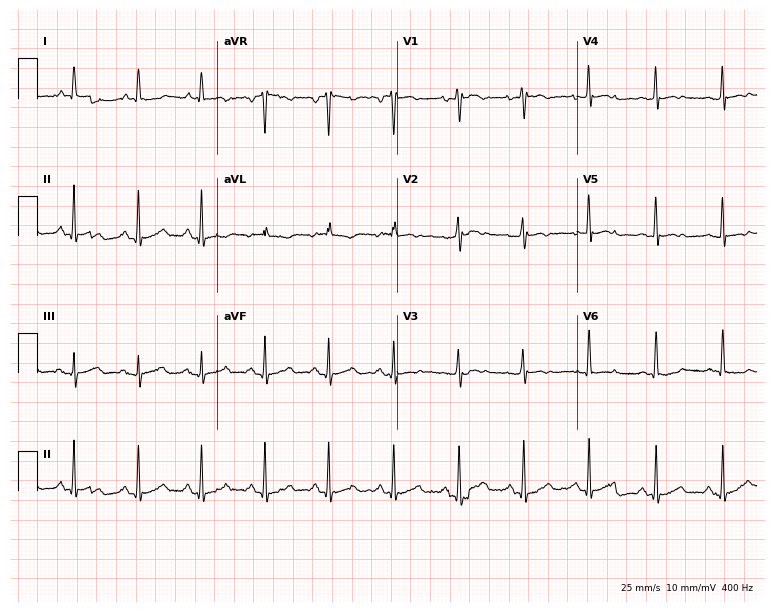
Resting 12-lead electrocardiogram. Patient: a 73-year-old female. None of these six findings is recorded: first-degree AV block, right bundle branch block, left bundle branch block, sinus bradycardia, atrial fibrillation, sinus tachycardia.